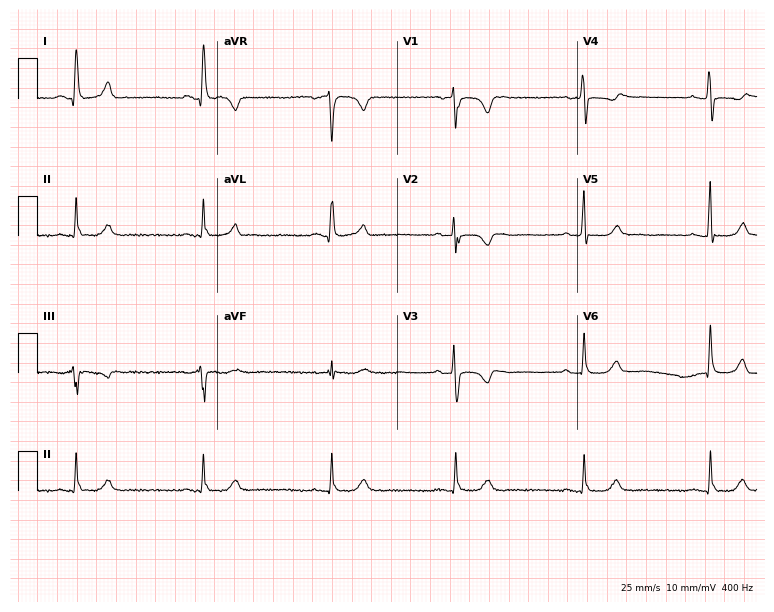
12-lead ECG (7.3-second recording at 400 Hz) from a 69-year-old woman. Screened for six findings — first-degree AV block, right bundle branch block, left bundle branch block, sinus bradycardia, atrial fibrillation, sinus tachycardia — none is recorded. Findings outside these six are not listed.